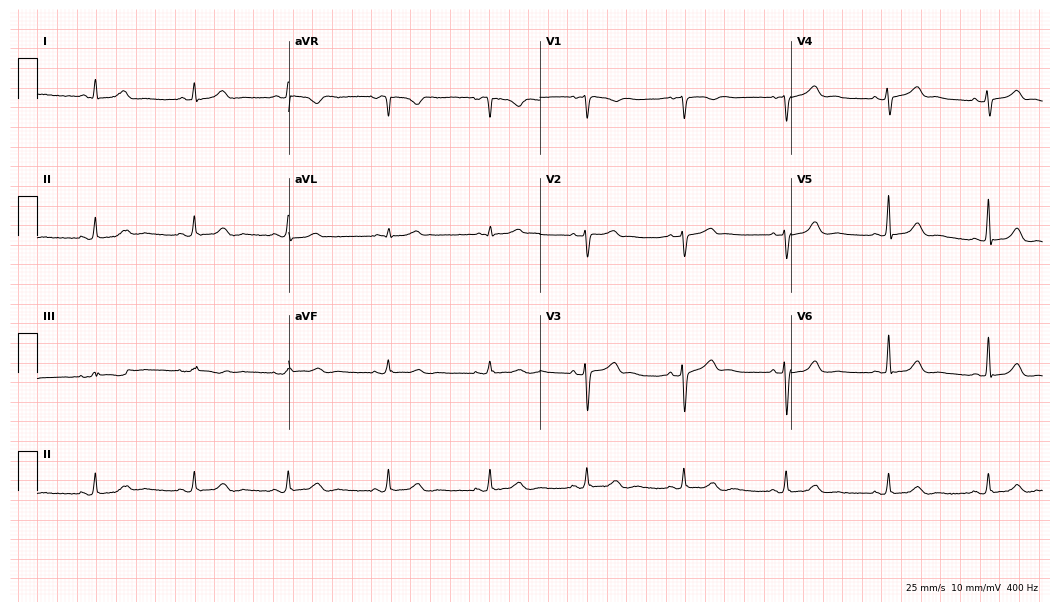
Electrocardiogram, a woman, 52 years old. Overall reading on record: normal ECG.